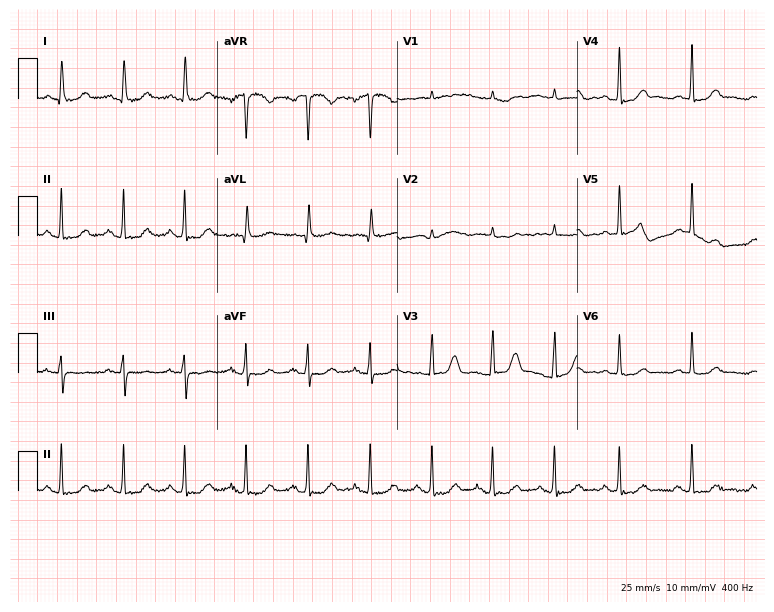
Resting 12-lead electrocardiogram (7.3-second recording at 400 Hz). Patient: a female, 74 years old. None of these six findings is recorded: first-degree AV block, right bundle branch block (RBBB), left bundle branch block (LBBB), sinus bradycardia, atrial fibrillation (AF), sinus tachycardia.